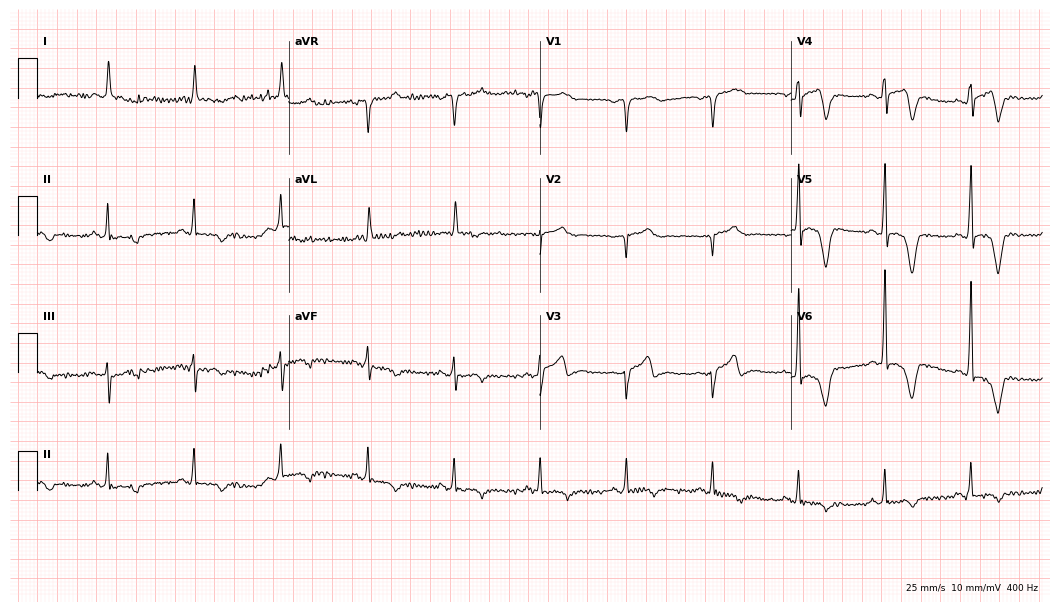
Standard 12-lead ECG recorded from a 75-year-old man. None of these six findings is recorded: first-degree AV block, right bundle branch block, left bundle branch block, sinus bradycardia, atrial fibrillation, sinus tachycardia. Only these six findings were labelled.